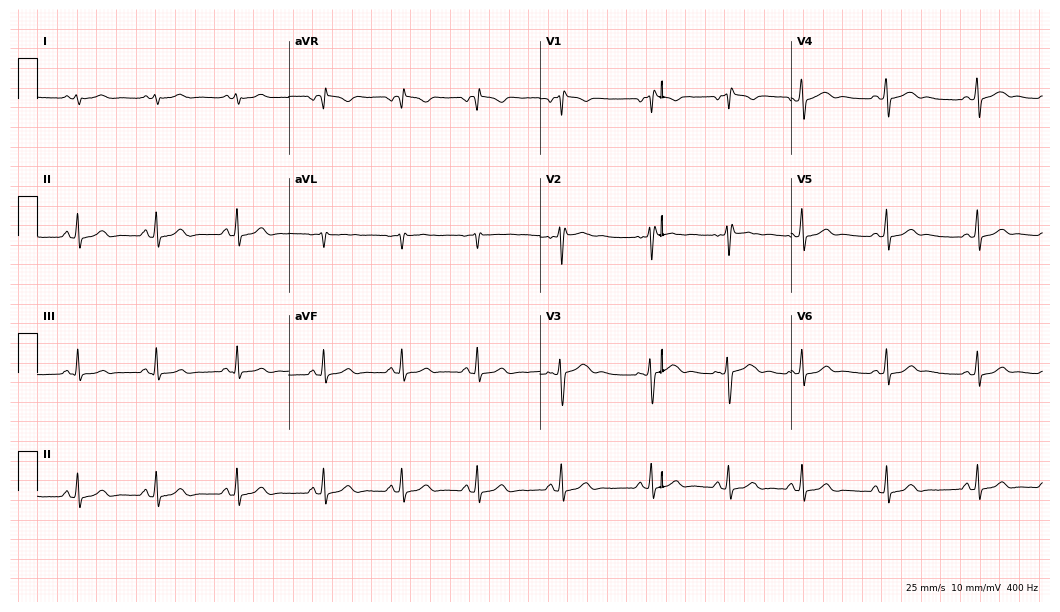
12-lead ECG from a 21-year-old woman. Screened for six findings — first-degree AV block, right bundle branch block (RBBB), left bundle branch block (LBBB), sinus bradycardia, atrial fibrillation (AF), sinus tachycardia — none is recorded. Findings outside these six are not listed.